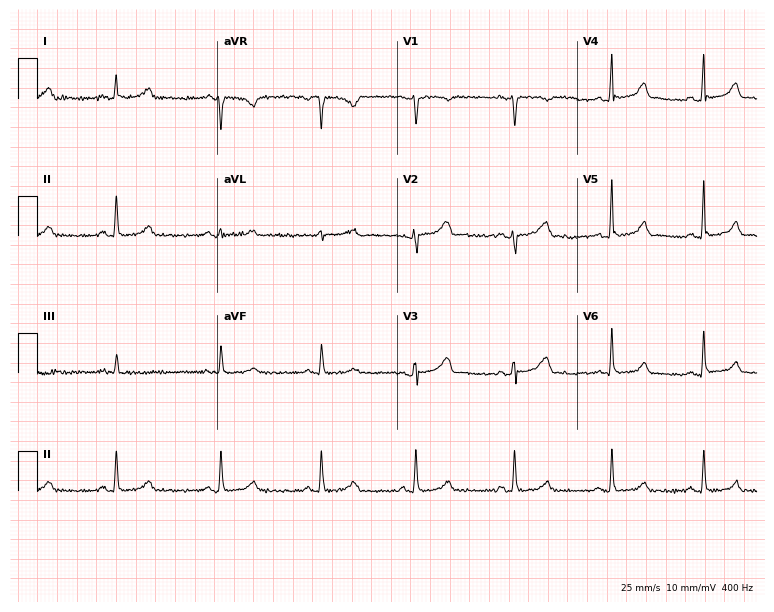
Resting 12-lead electrocardiogram (7.3-second recording at 400 Hz). Patient: a female, 26 years old. Read as a normal ECG.